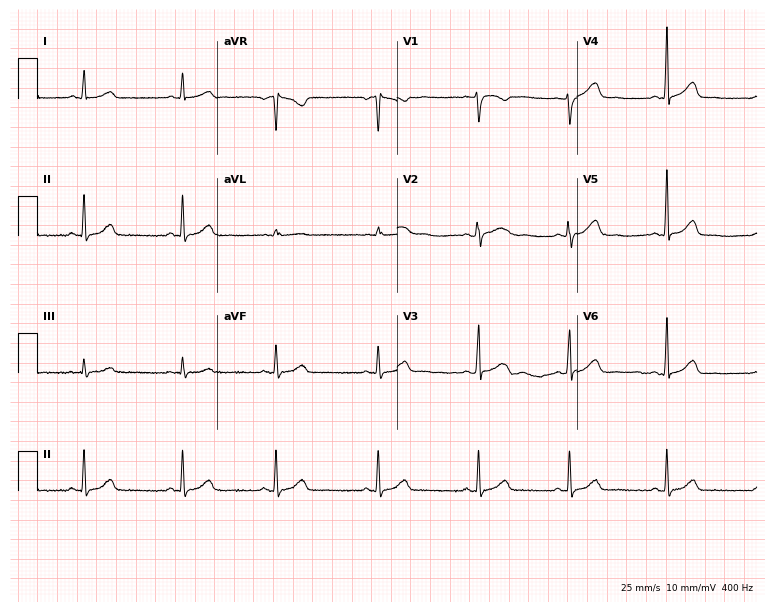
12-lead ECG from an 18-year-old female patient. No first-degree AV block, right bundle branch block, left bundle branch block, sinus bradycardia, atrial fibrillation or sinus tachycardia recorded for this tracing. Only these six findings were labelled.